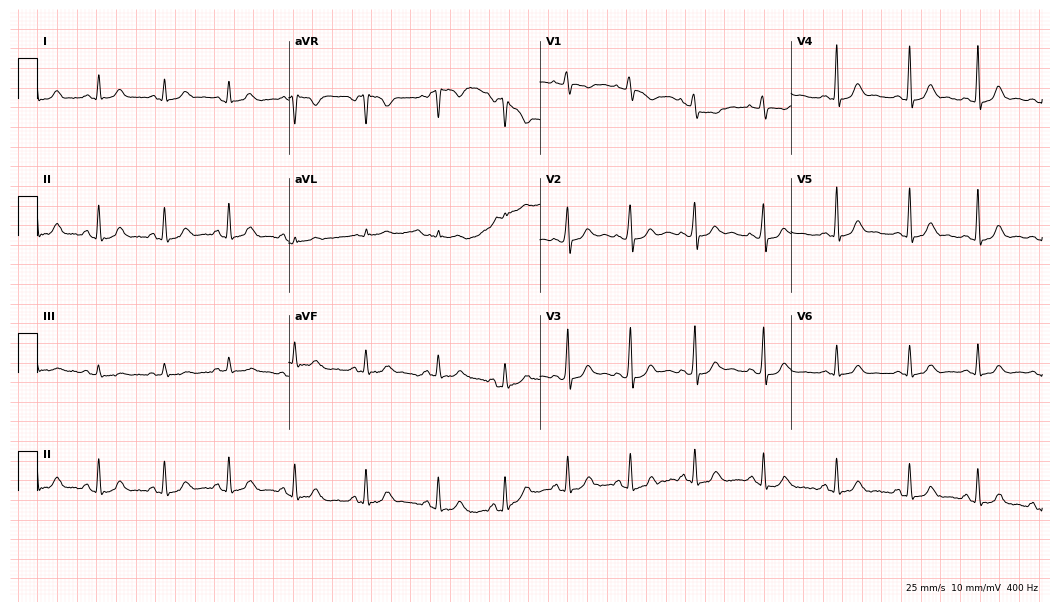
12-lead ECG (10.2-second recording at 400 Hz) from a 30-year-old female. Labelled as a normal ECG.